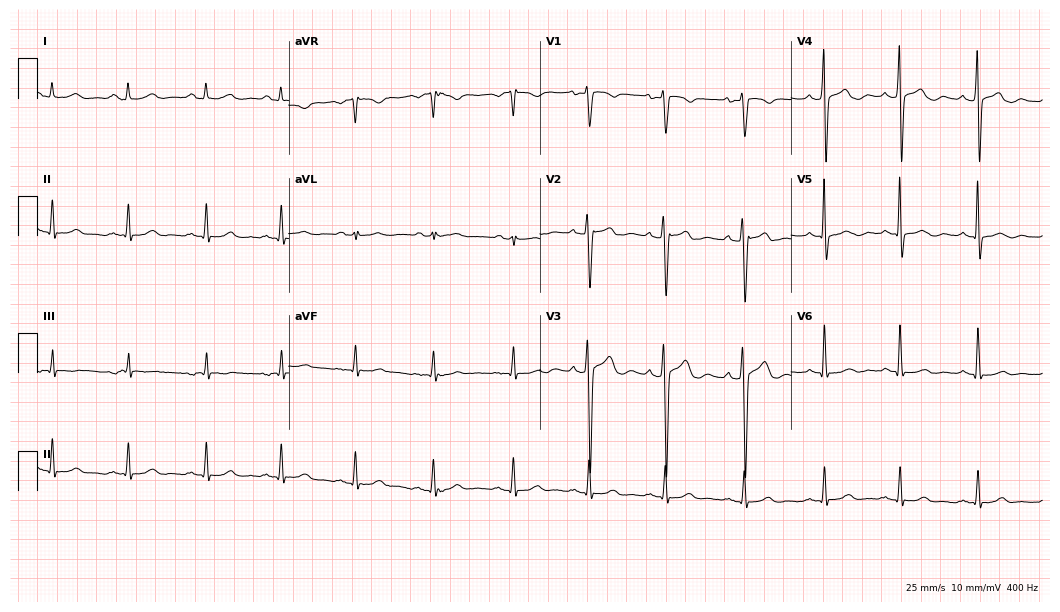
Resting 12-lead electrocardiogram. Patient: a 35-year-old male. Read as a normal ECG.